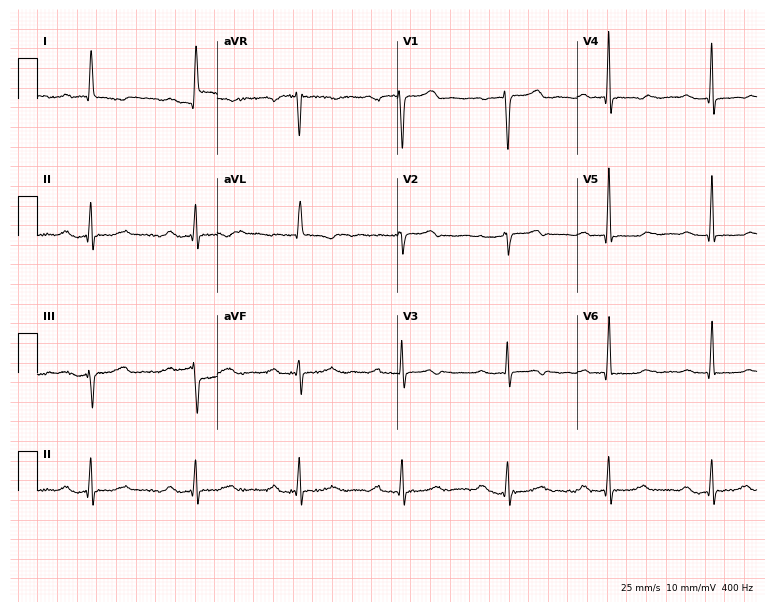
Electrocardiogram (7.3-second recording at 400 Hz), a female, 66 years old. Interpretation includes first-degree AV block.